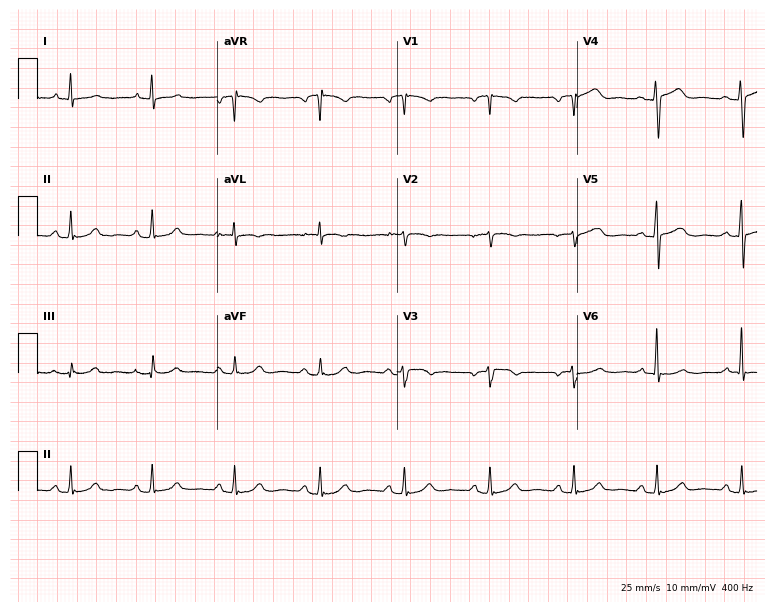
12-lead ECG from a 68-year-old female patient (7.3-second recording at 400 Hz). No first-degree AV block, right bundle branch block, left bundle branch block, sinus bradycardia, atrial fibrillation or sinus tachycardia recorded for this tracing. Other findings, if any, are not listed.